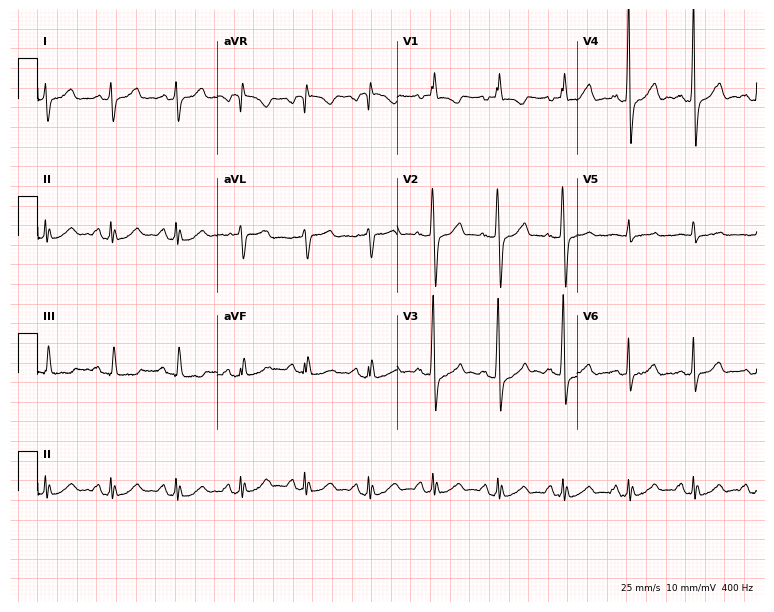
Standard 12-lead ECG recorded from a 73-year-old male patient. None of these six findings is recorded: first-degree AV block, right bundle branch block, left bundle branch block, sinus bradycardia, atrial fibrillation, sinus tachycardia. Findings outside these six are not listed.